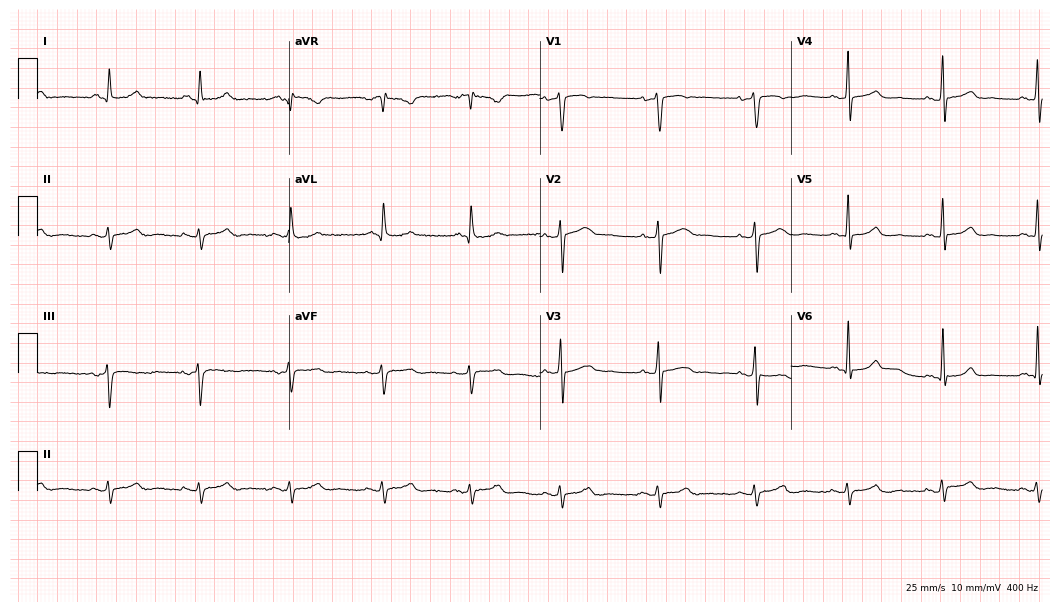
12-lead ECG from a female patient, 62 years old. Screened for six findings — first-degree AV block, right bundle branch block (RBBB), left bundle branch block (LBBB), sinus bradycardia, atrial fibrillation (AF), sinus tachycardia — none is recorded. Only these six findings were labelled.